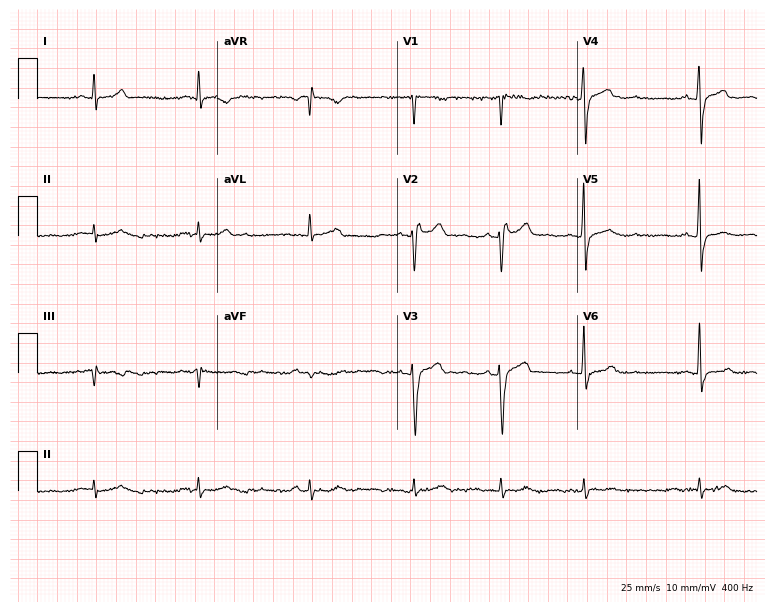
12-lead ECG from a male, 37 years old. Labelled as a normal ECG.